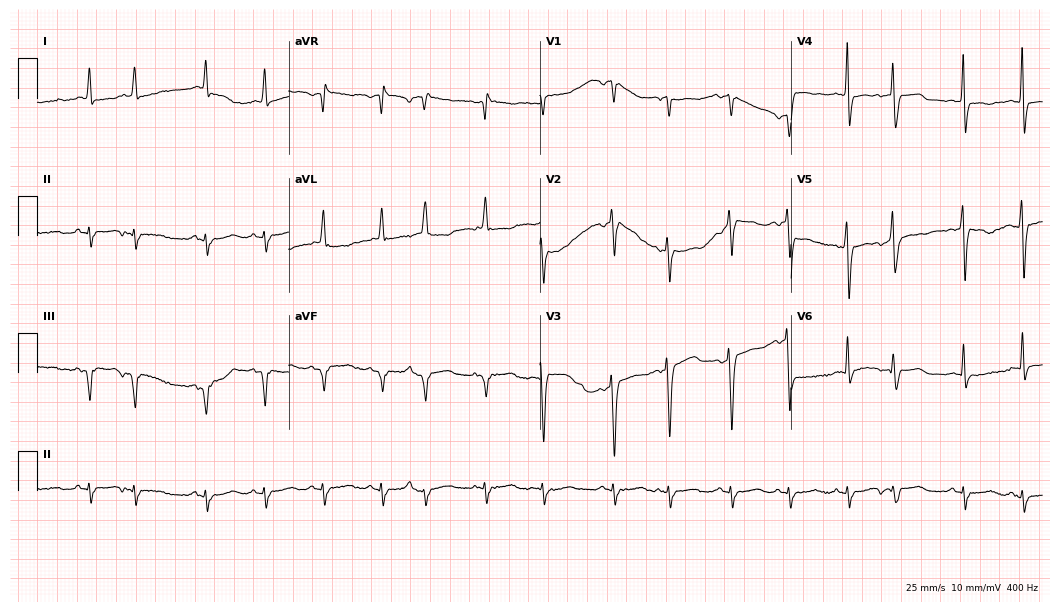
12-lead ECG from a 70-year-old female. No first-degree AV block, right bundle branch block (RBBB), left bundle branch block (LBBB), sinus bradycardia, atrial fibrillation (AF) or sinus tachycardia recorded for this tracing.